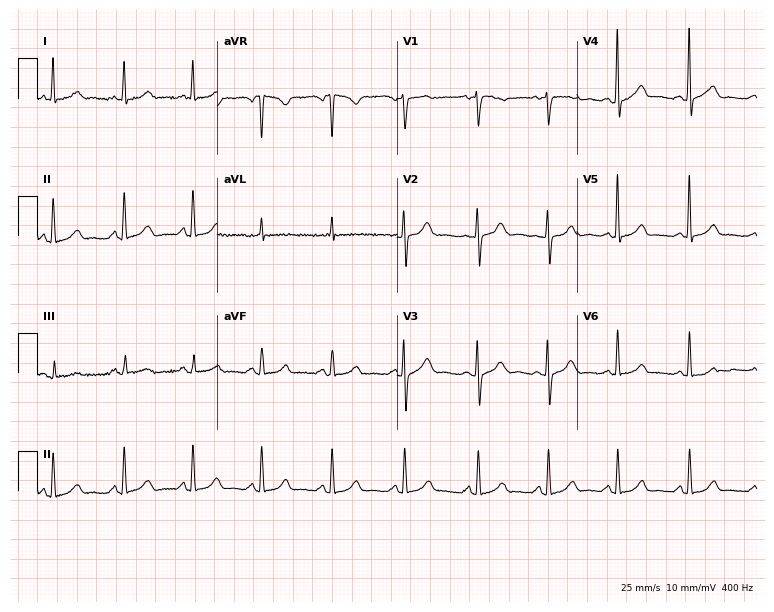
12-lead ECG (7.3-second recording at 400 Hz) from a female patient, 57 years old. Labelled as a normal ECG.